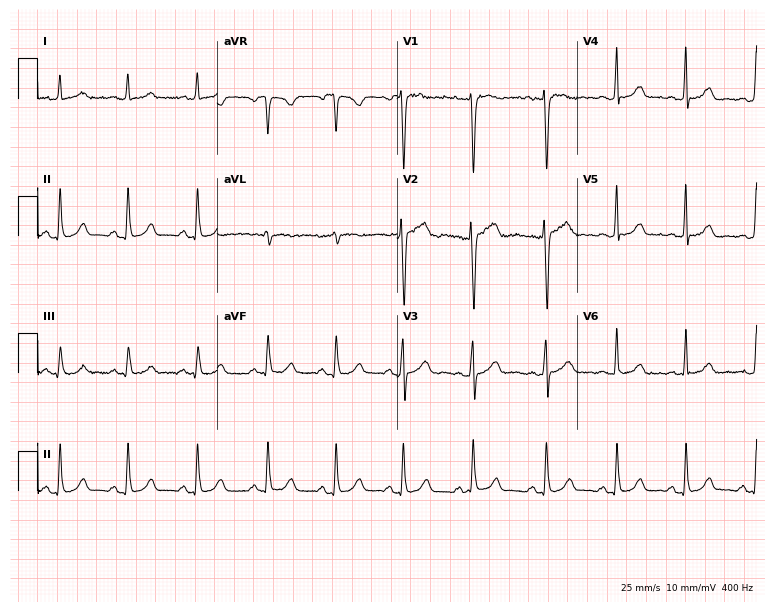
Resting 12-lead electrocardiogram (7.3-second recording at 400 Hz). Patient: a female, 39 years old. Read as a normal ECG.